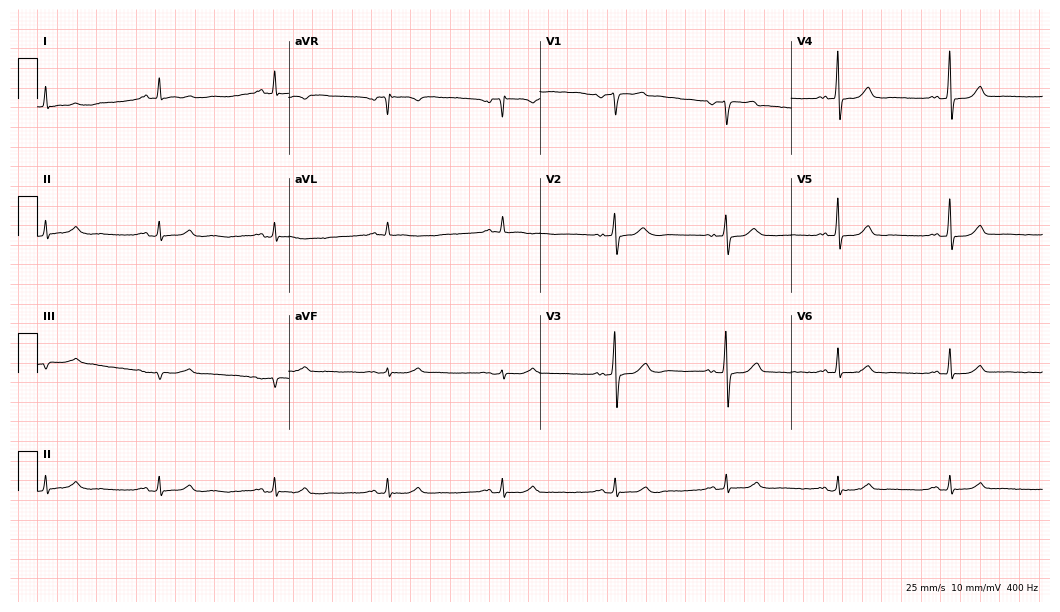
12-lead ECG from a 69-year-old male. No first-degree AV block, right bundle branch block, left bundle branch block, sinus bradycardia, atrial fibrillation or sinus tachycardia recorded for this tracing. Only these six findings were labelled.